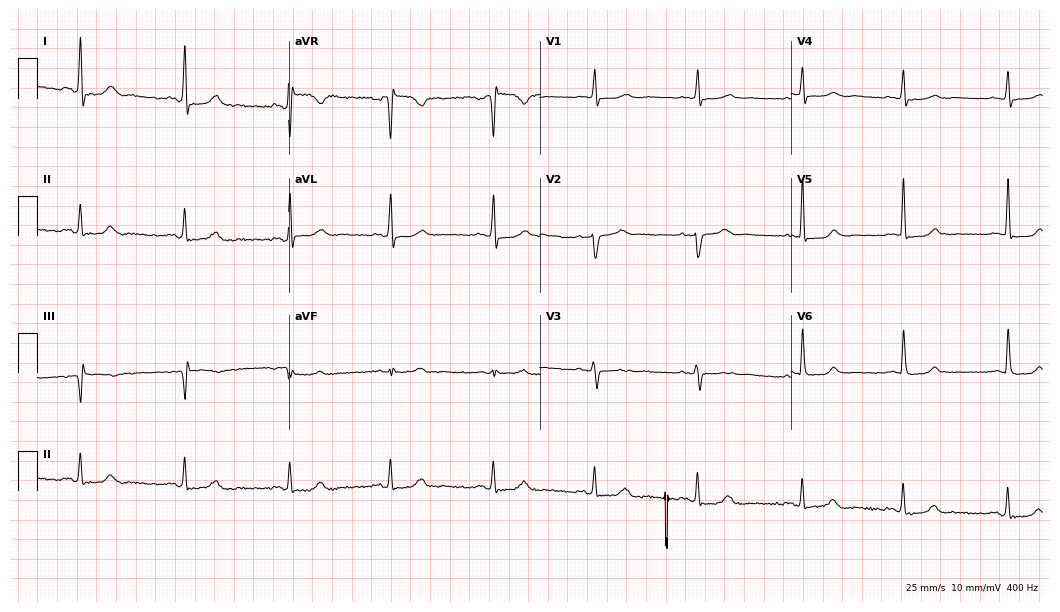
12-lead ECG from a woman, 56 years old. No first-degree AV block, right bundle branch block, left bundle branch block, sinus bradycardia, atrial fibrillation or sinus tachycardia recorded for this tracing.